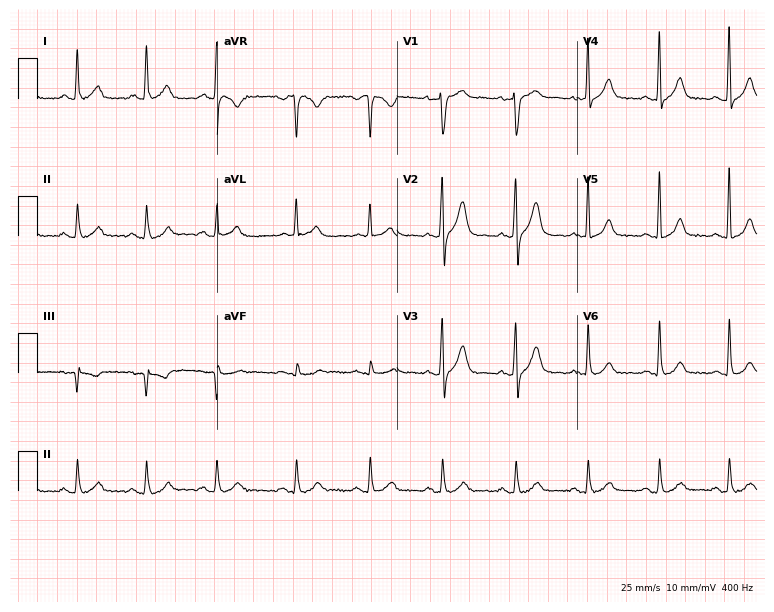
12-lead ECG from a male, 53 years old (7.3-second recording at 400 Hz). No first-degree AV block, right bundle branch block, left bundle branch block, sinus bradycardia, atrial fibrillation or sinus tachycardia recorded for this tracing.